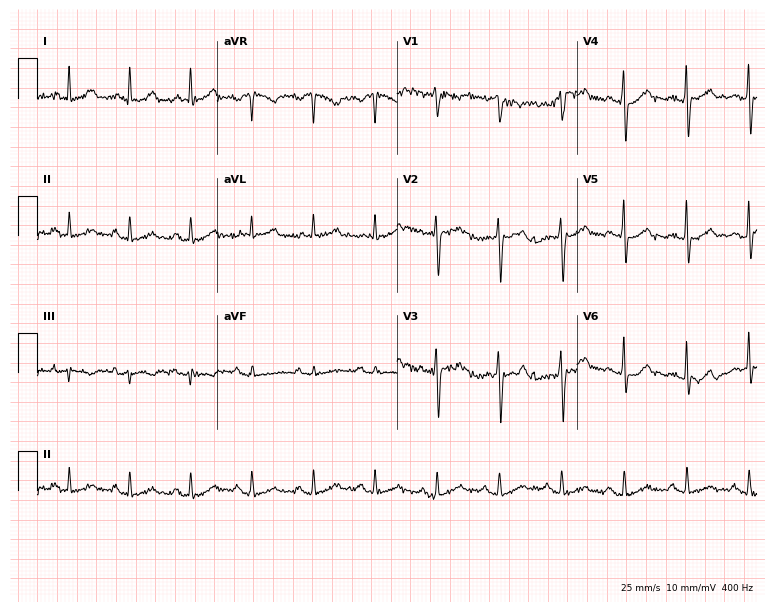
ECG (7.3-second recording at 400 Hz) — a 43-year-old male patient. Screened for six findings — first-degree AV block, right bundle branch block, left bundle branch block, sinus bradycardia, atrial fibrillation, sinus tachycardia — none is recorded.